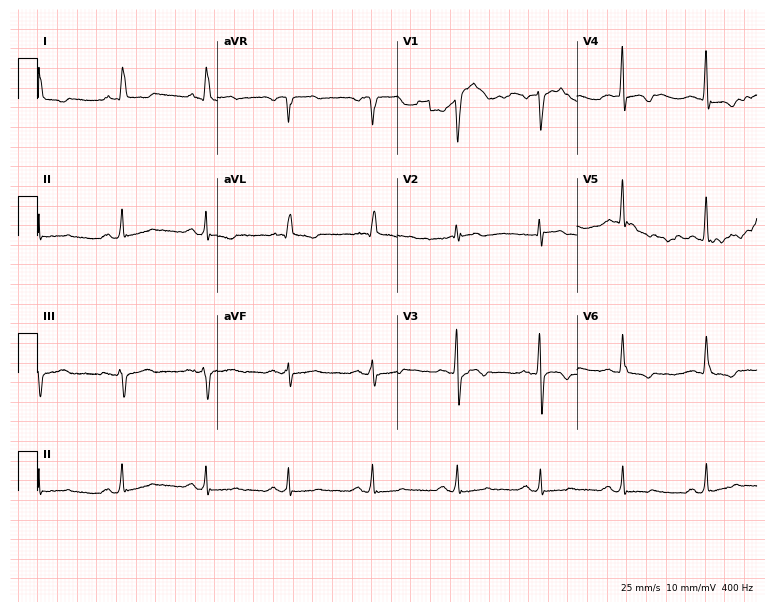
12-lead ECG (7.3-second recording at 400 Hz) from a male patient, 71 years old. Screened for six findings — first-degree AV block, right bundle branch block, left bundle branch block, sinus bradycardia, atrial fibrillation, sinus tachycardia — none is recorded.